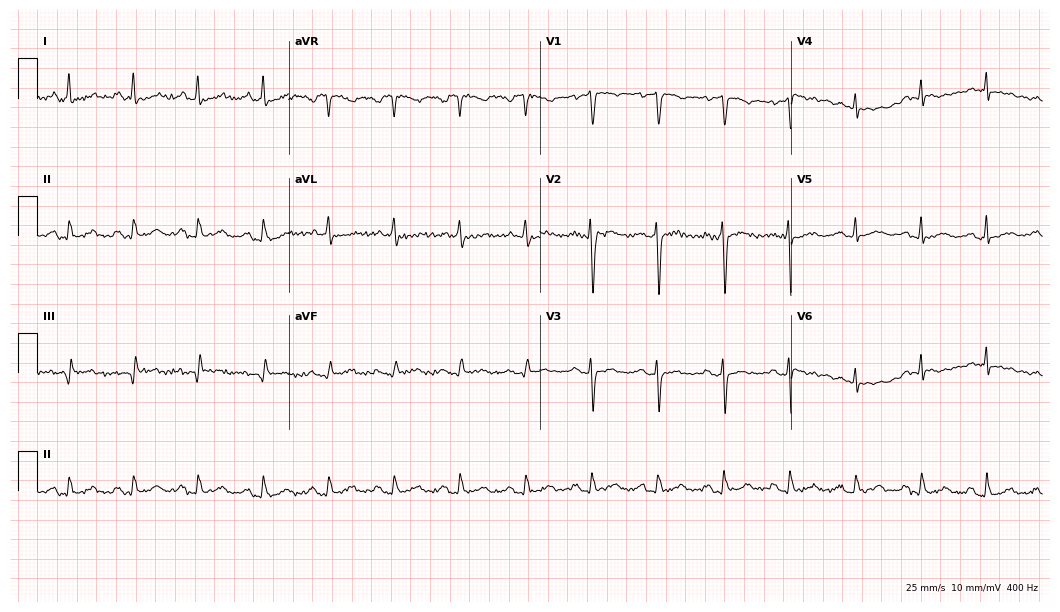
Resting 12-lead electrocardiogram (10.2-second recording at 400 Hz). Patient: a 61-year-old female. None of these six findings is recorded: first-degree AV block, right bundle branch block, left bundle branch block, sinus bradycardia, atrial fibrillation, sinus tachycardia. Findings outside these six are not listed.